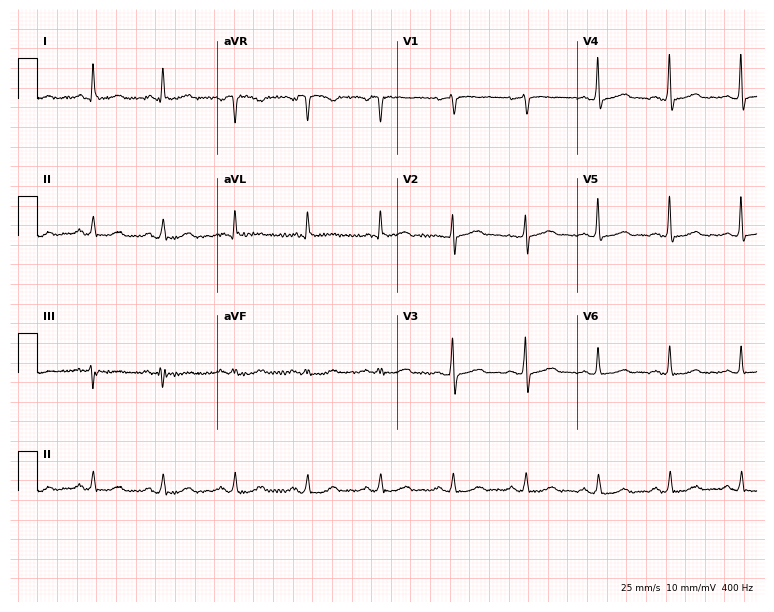
Standard 12-lead ECG recorded from a 63-year-old woman. Read as a normal ECG.